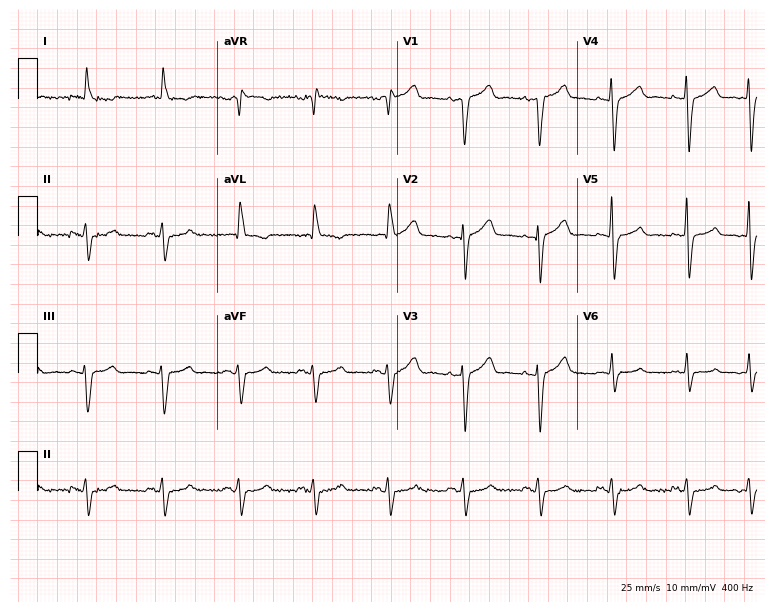
Standard 12-lead ECG recorded from an 81-year-old male. None of these six findings is recorded: first-degree AV block, right bundle branch block, left bundle branch block, sinus bradycardia, atrial fibrillation, sinus tachycardia. Findings outside these six are not listed.